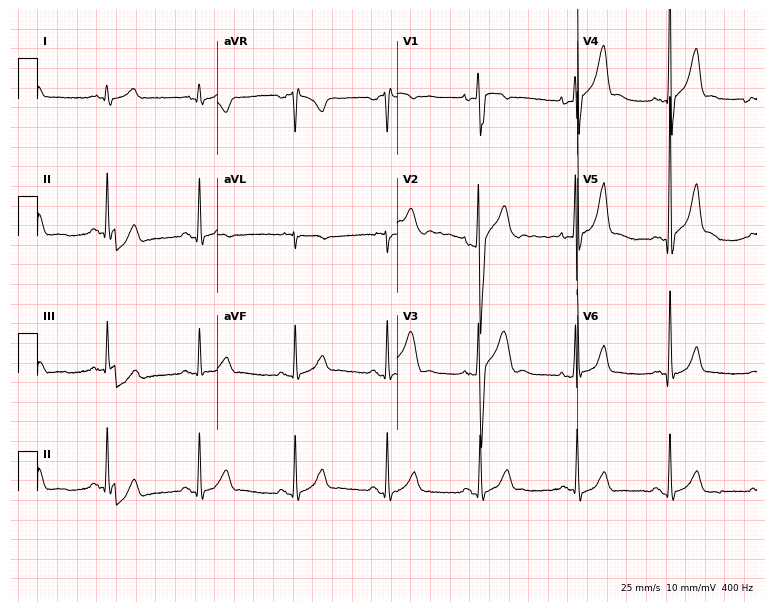
12-lead ECG from a 26-year-old man (7.3-second recording at 400 Hz). No first-degree AV block, right bundle branch block (RBBB), left bundle branch block (LBBB), sinus bradycardia, atrial fibrillation (AF) or sinus tachycardia recorded for this tracing.